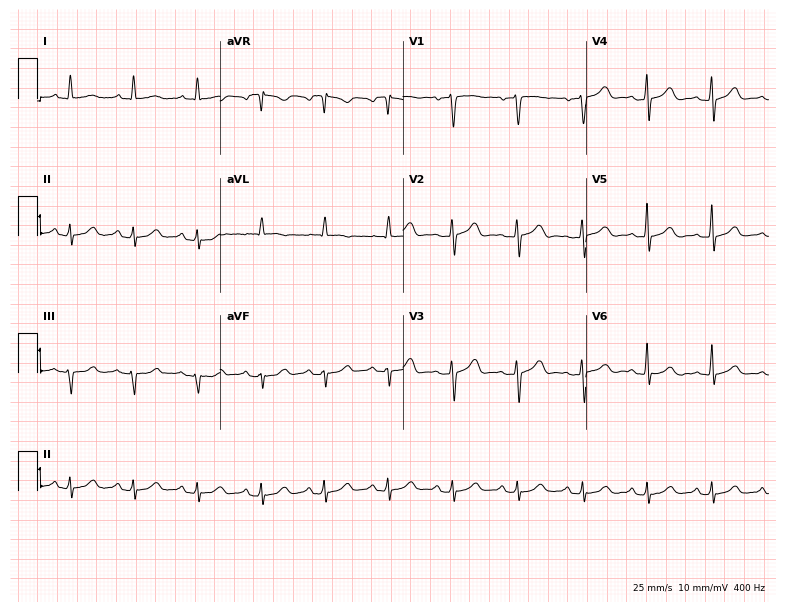
Resting 12-lead electrocardiogram. Patient: a 55-year-old woman. Read as a normal ECG.